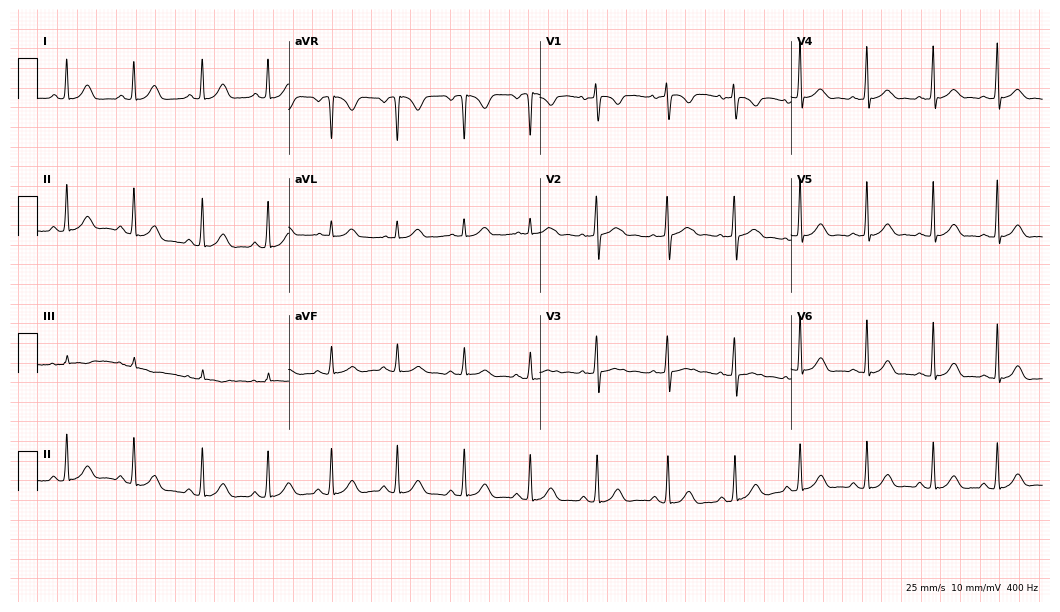
Resting 12-lead electrocardiogram. Patient: a 25-year-old woman. Read as a normal ECG.